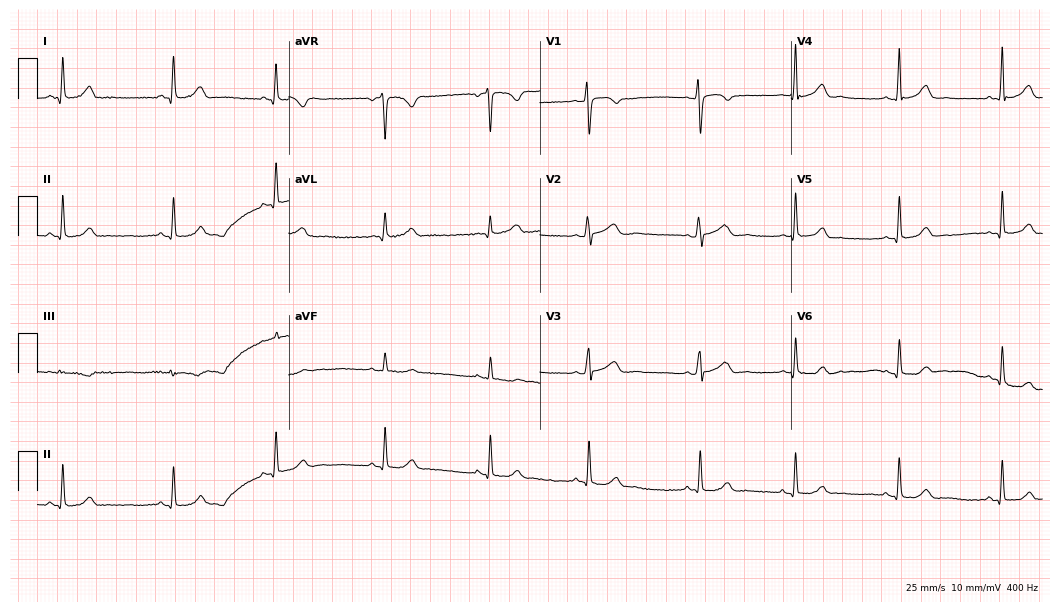
Standard 12-lead ECG recorded from a woman, 30 years old. Read as a normal ECG.